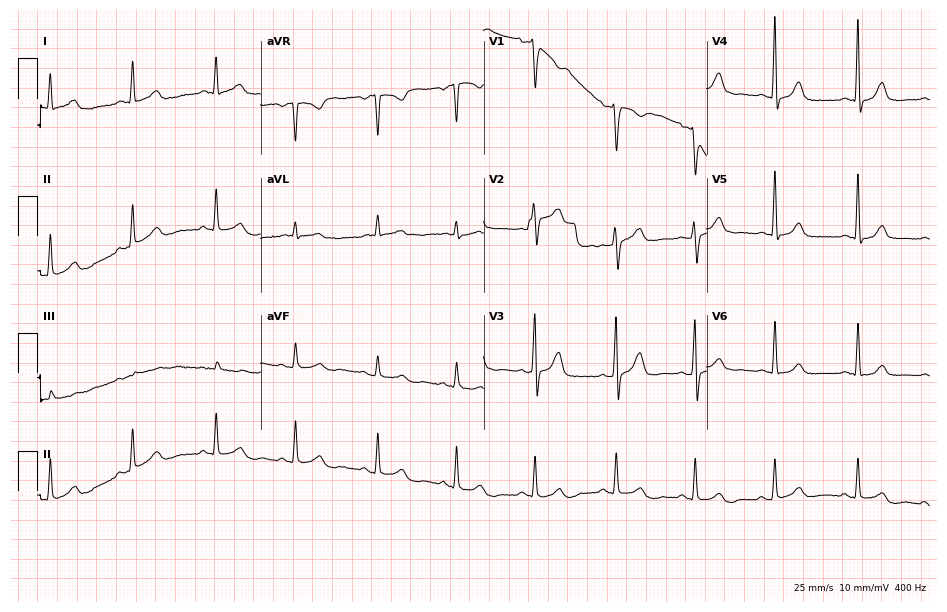
12-lead ECG from a 60-year-old woman. Recorded interpretation: within normal limits.